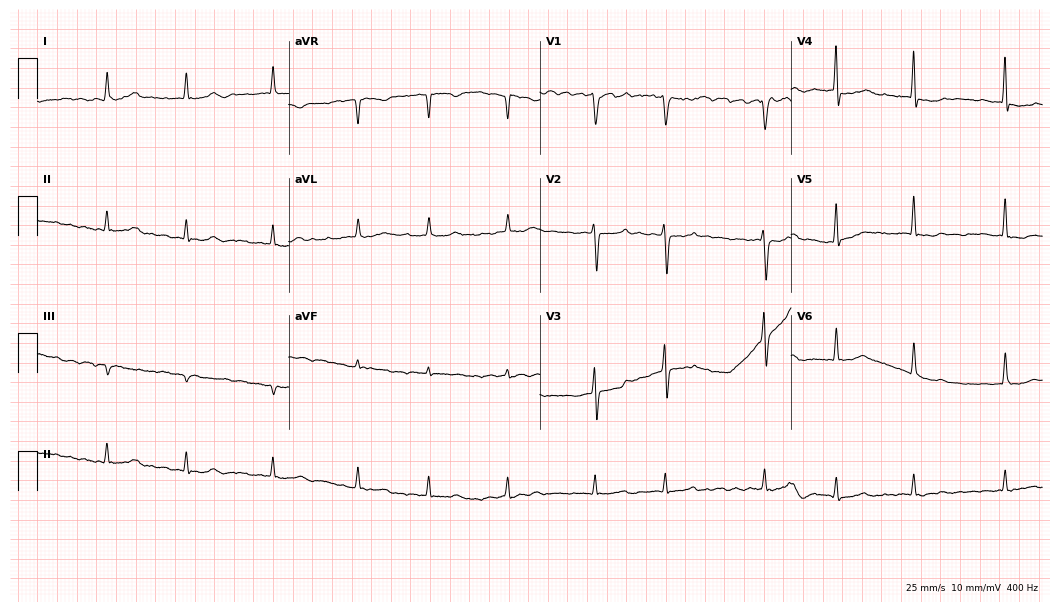
Standard 12-lead ECG recorded from a 65-year-old man (10.2-second recording at 400 Hz). The tracing shows atrial fibrillation.